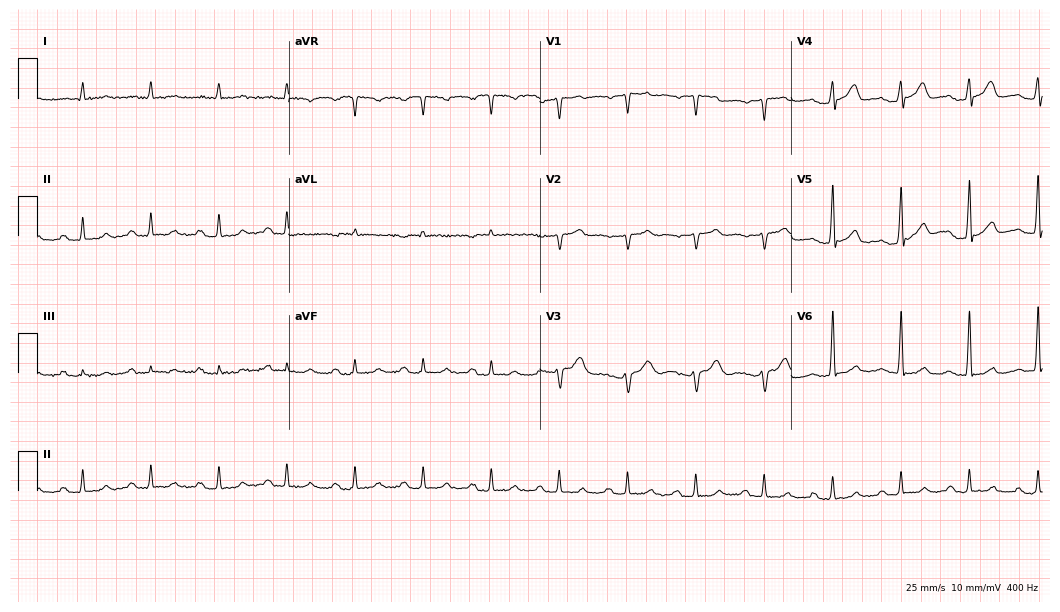
Electrocardiogram (10.2-second recording at 400 Hz), an 85-year-old male patient. Of the six screened findings (first-degree AV block, right bundle branch block (RBBB), left bundle branch block (LBBB), sinus bradycardia, atrial fibrillation (AF), sinus tachycardia), none is recorded.